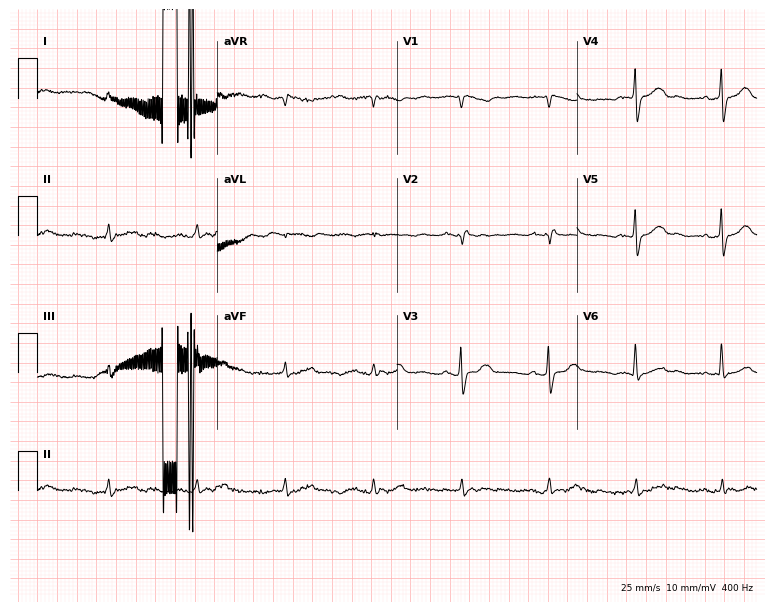
Electrocardiogram (7.3-second recording at 400 Hz), a male patient, 85 years old. Of the six screened findings (first-degree AV block, right bundle branch block, left bundle branch block, sinus bradycardia, atrial fibrillation, sinus tachycardia), none is recorded.